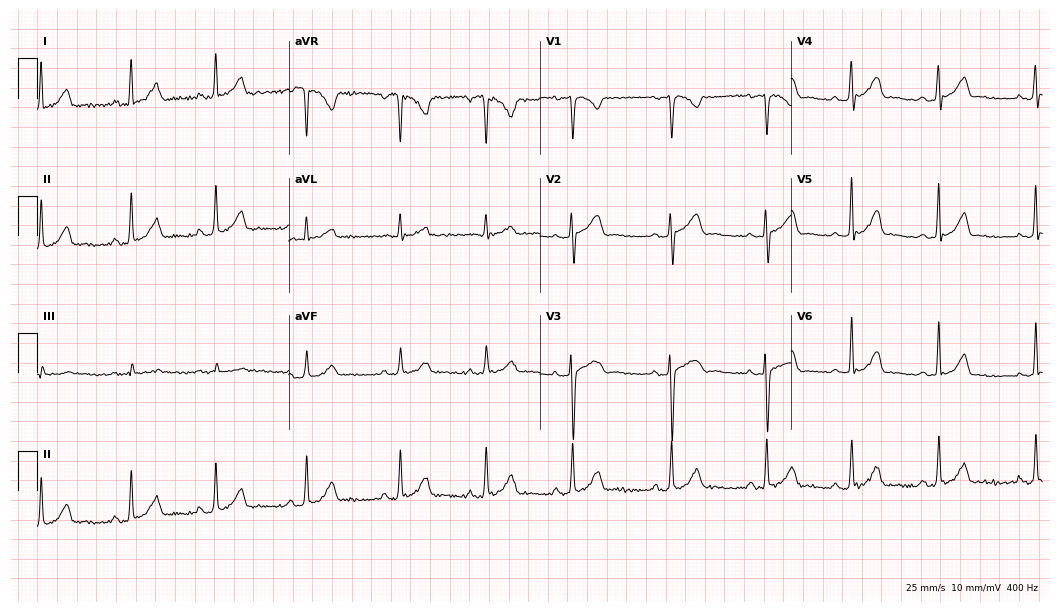
12-lead ECG (10.2-second recording at 400 Hz) from a female patient, 28 years old. Labelled as a normal ECG.